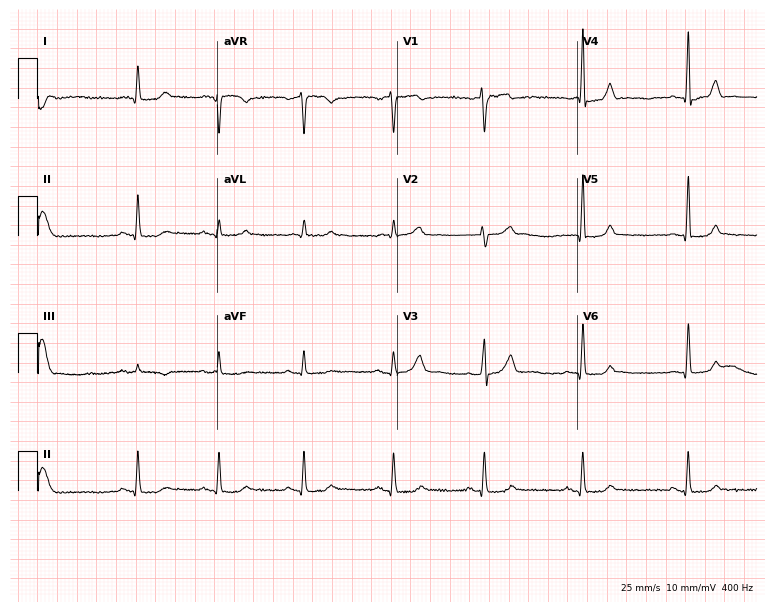
Electrocardiogram, a male patient, 64 years old. Of the six screened findings (first-degree AV block, right bundle branch block, left bundle branch block, sinus bradycardia, atrial fibrillation, sinus tachycardia), none is recorded.